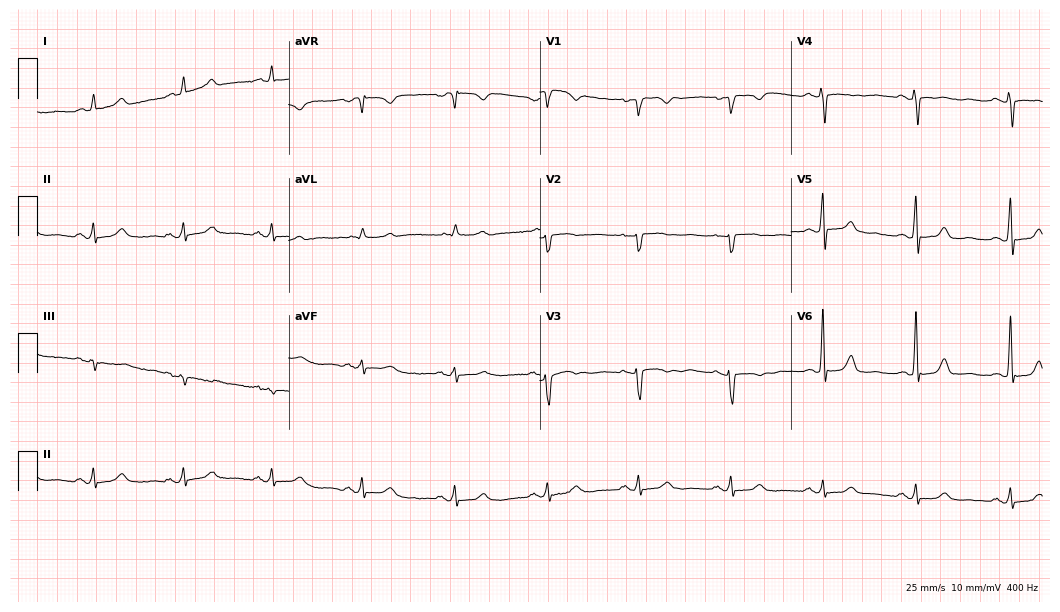
12-lead ECG from a 64-year-old female. Screened for six findings — first-degree AV block, right bundle branch block, left bundle branch block, sinus bradycardia, atrial fibrillation, sinus tachycardia — none is recorded. Findings outside these six are not listed.